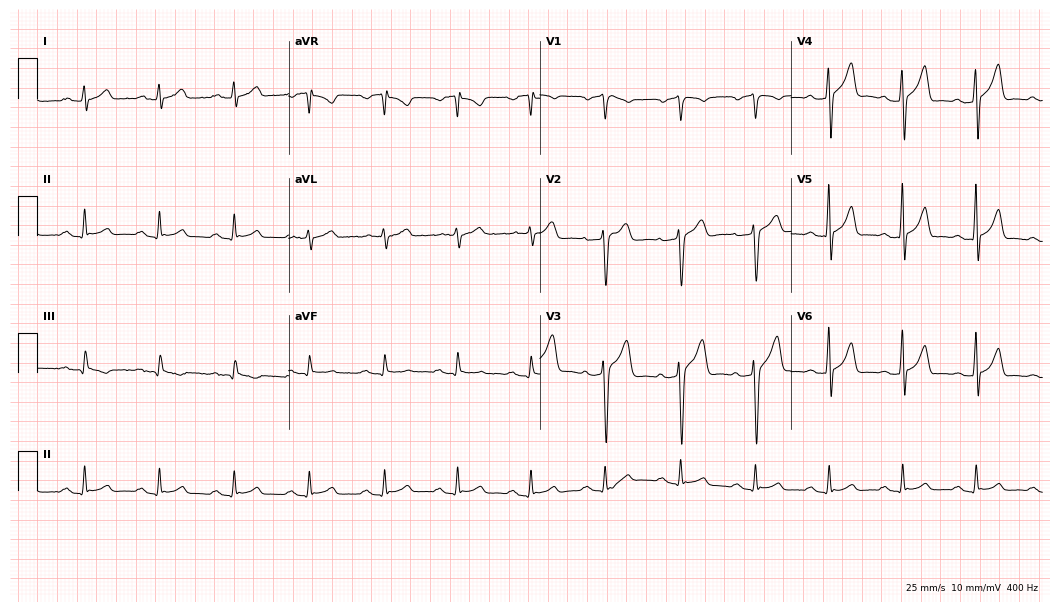
Electrocardiogram (10.2-second recording at 400 Hz), a male, 51 years old. Of the six screened findings (first-degree AV block, right bundle branch block (RBBB), left bundle branch block (LBBB), sinus bradycardia, atrial fibrillation (AF), sinus tachycardia), none is recorded. Findings outside these six are not listed.